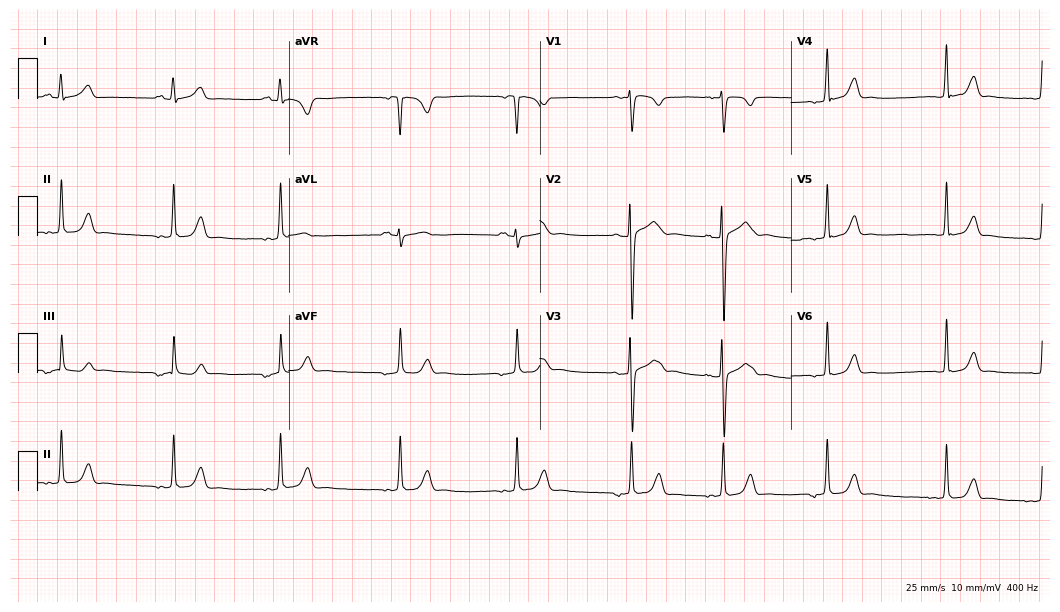
12-lead ECG (10.2-second recording at 400 Hz) from a female, 27 years old. Labelled as a normal ECG.